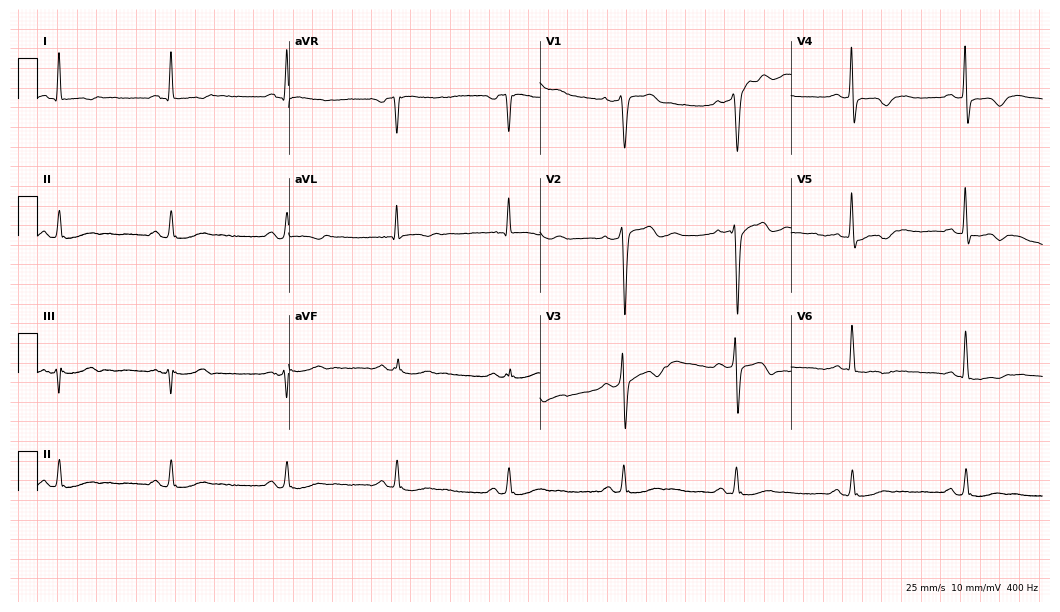
Standard 12-lead ECG recorded from a 56-year-old male patient (10.2-second recording at 400 Hz). None of these six findings is recorded: first-degree AV block, right bundle branch block, left bundle branch block, sinus bradycardia, atrial fibrillation, sinus tachycardia.